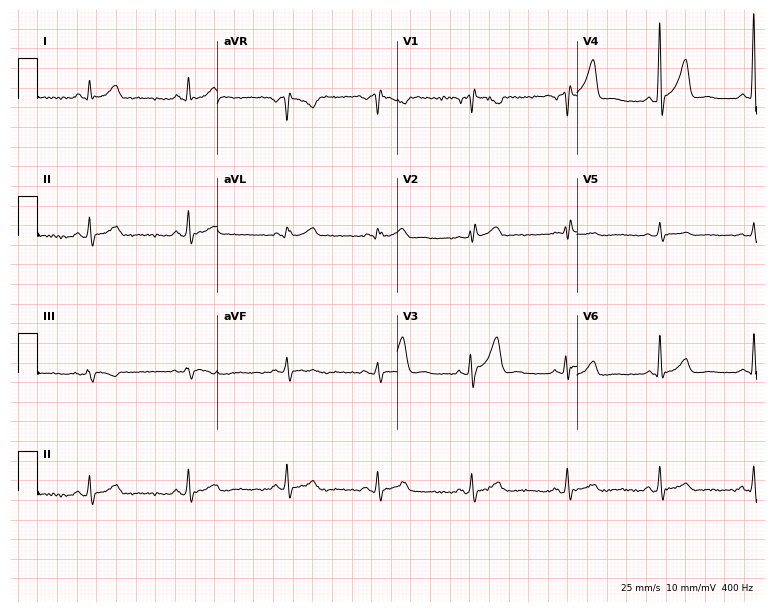
12-lead ECG from a 43-year-old male patient (7.3-second recording at 400 Hz). No first-degree AV block, right bundle branch block (RBBB), left bundle branch block (LBBB), sinus bradycardia, atrial fibrillation (AF) or sinus tachycardia recorded for this tracing.